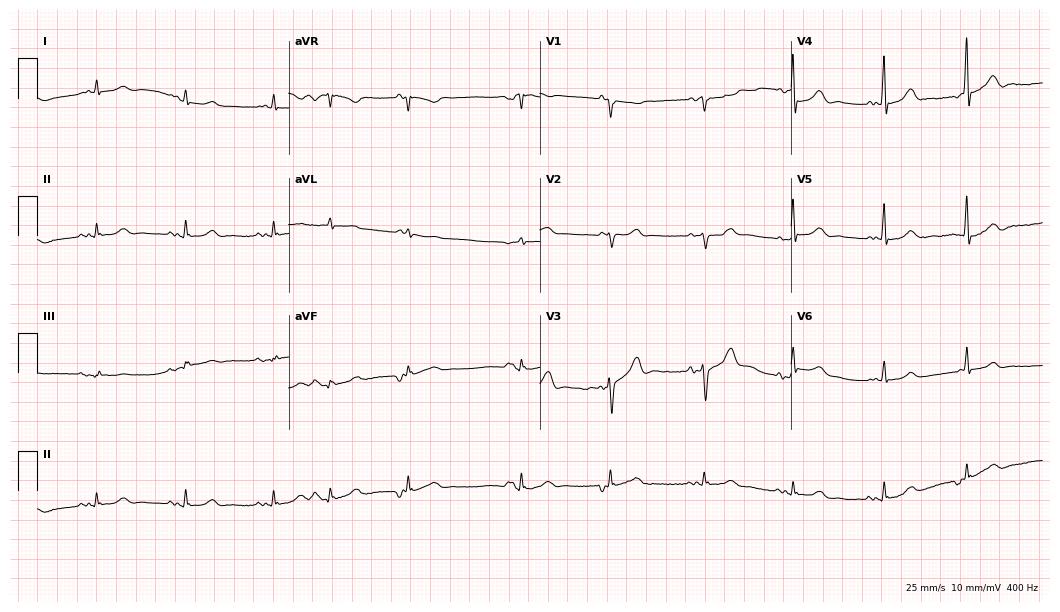
12-lead ECG (10.2-second recording at 400 Hz) from a 76-year-old male. Screened for six findings — first-degree AV block, right bundle branch block (RBBB), left bundle branch block (LBBB), sinus bradycardia, atrial fibrillation (AF), sinus tachycardia — none is recorded.